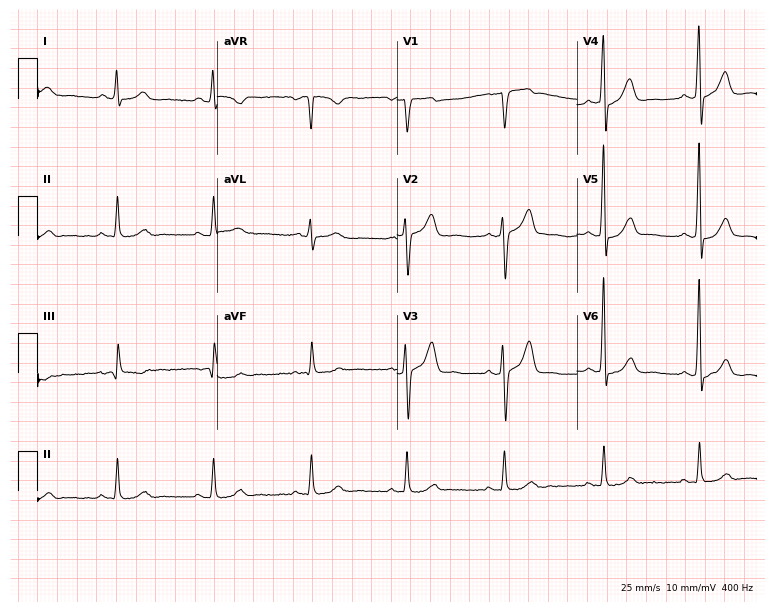
12-lead ECG (7.3-second recording at 400 Hz) from a man, 54 years old. Screened for six findings — first-degree AV block, right bundle branch block, left bundle branch block, sinus bradycardia, atrial fibrillation, sinus tachycardia — none is recorded. Findings outside these six are not listed.